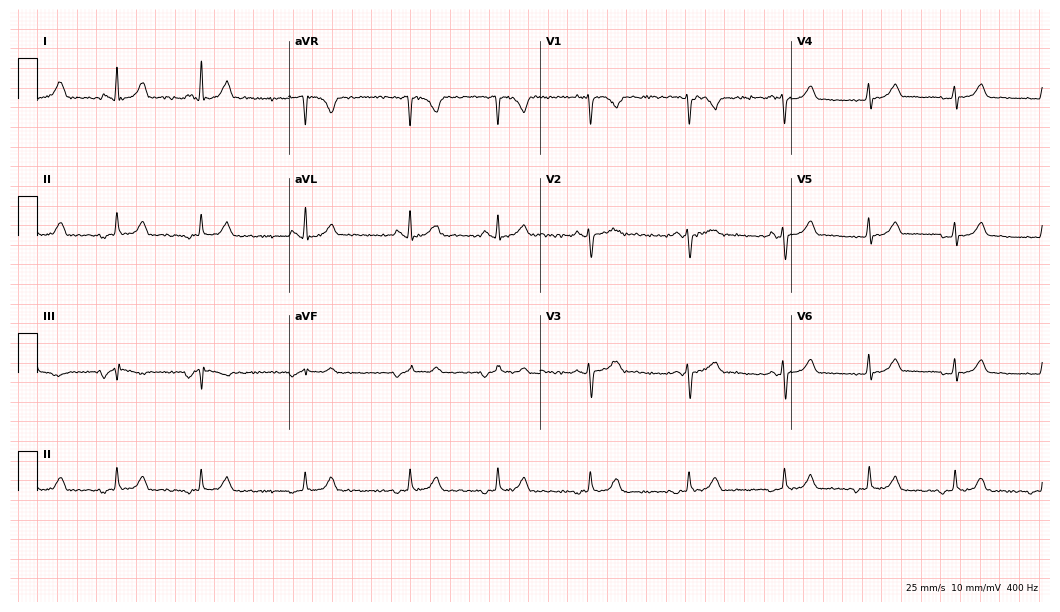
Resting 12-lead electrocardiogram. Patient: a 43-year-old female. None of these six findings is recorded: first-degree AV block, right bundle branch block, left bundle branch block, sinus bradycardia, atrial fibrillation, sinus tachycardia.